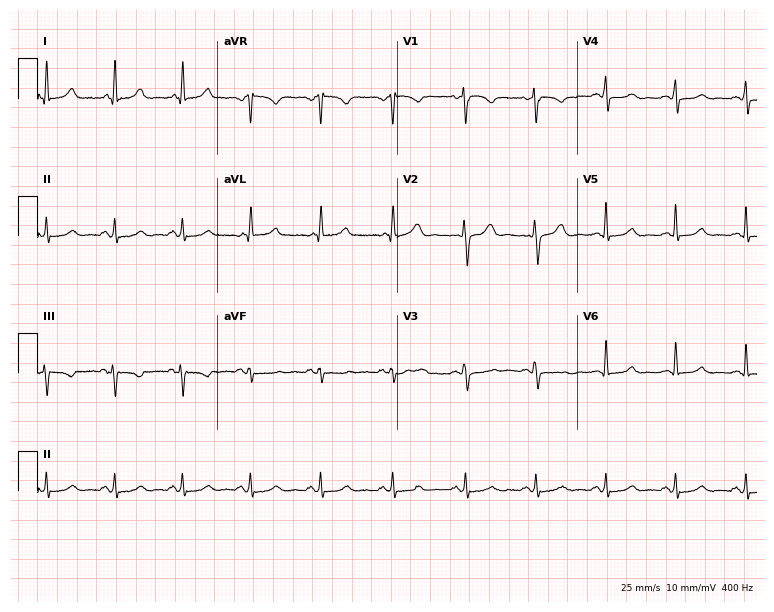
Resting 12-lead electrocardiogram. Patient: a woman, 42 years old. Read as a normal ECG.